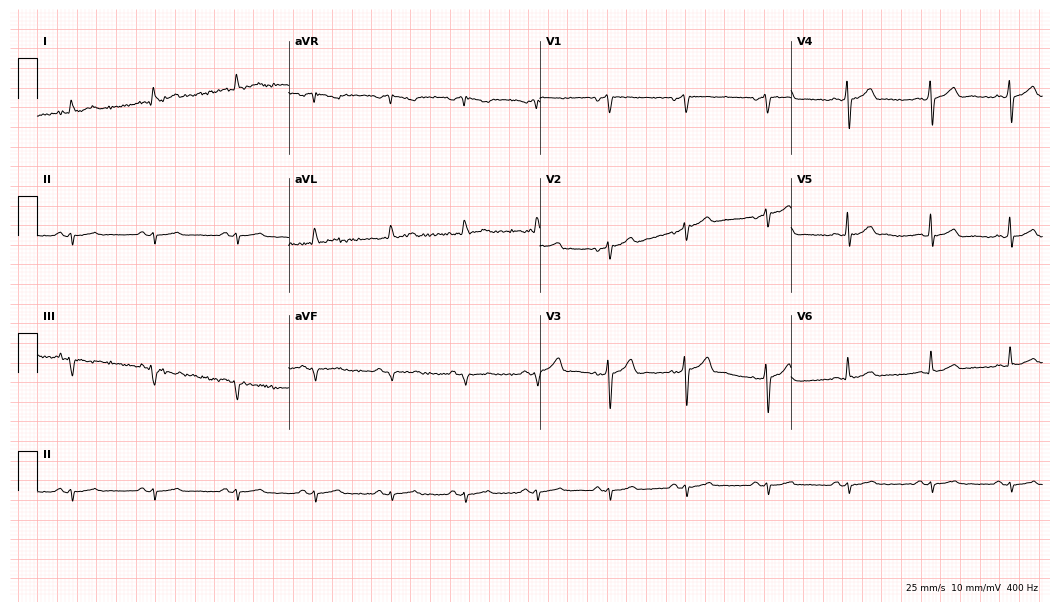
ECG (10.2-second recording at 400 Hz) — a male, 56 years old. Screened for six findings — first-degree AV block, right bundle branch block (RBBB), left bundle branch block (LBBB), sinus bradycardia, atrial fibrillation (AF), sinus tachycardia — none is recorded.